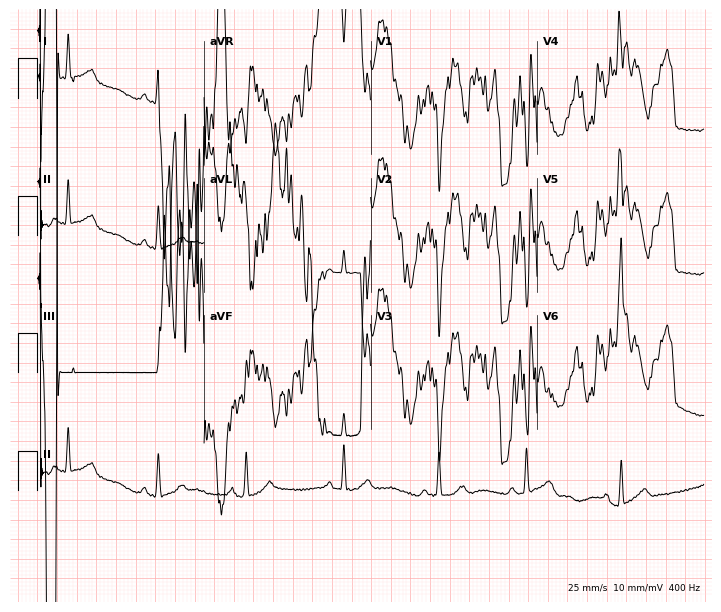
Resting 12-lead electrocardiogram. Patient: a 29-year-old man. None of these six findings is recorded: first-degree AV block, right bundle branch block, left bundle branch block, sinus bradycardia, atrial fibrillation, sinus tachycardia. Only these six findings were labelled.